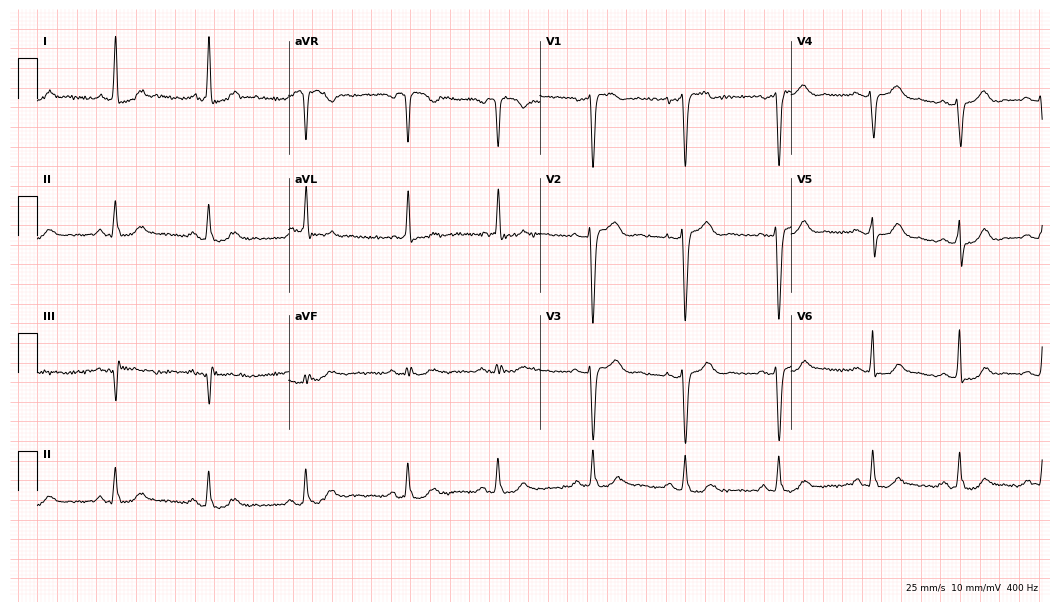
ECG — a woman, 57 years old. Screened for six findings — first-degree AV block, right bundle branch block, left bundle branch block, sinus bradycardia, atrial fibrillation, sinus tachycardia — none is recorded. Only these six findings were labelled.